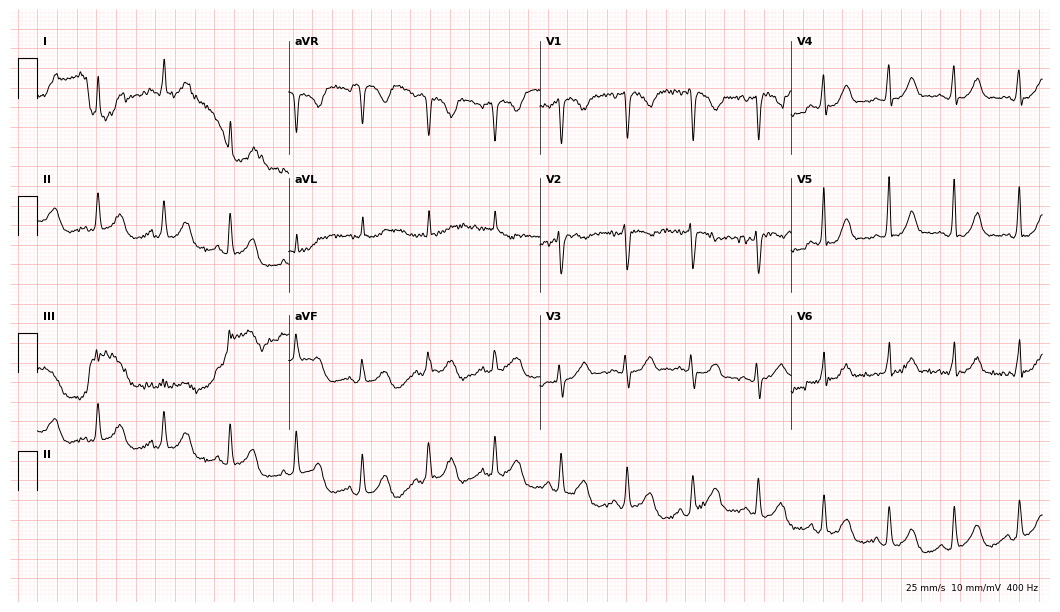
Standard 12-lead ECG recorded from an 82-year-old female patient (10.2-second recording at 400 Hz). Read as a normal ECG.